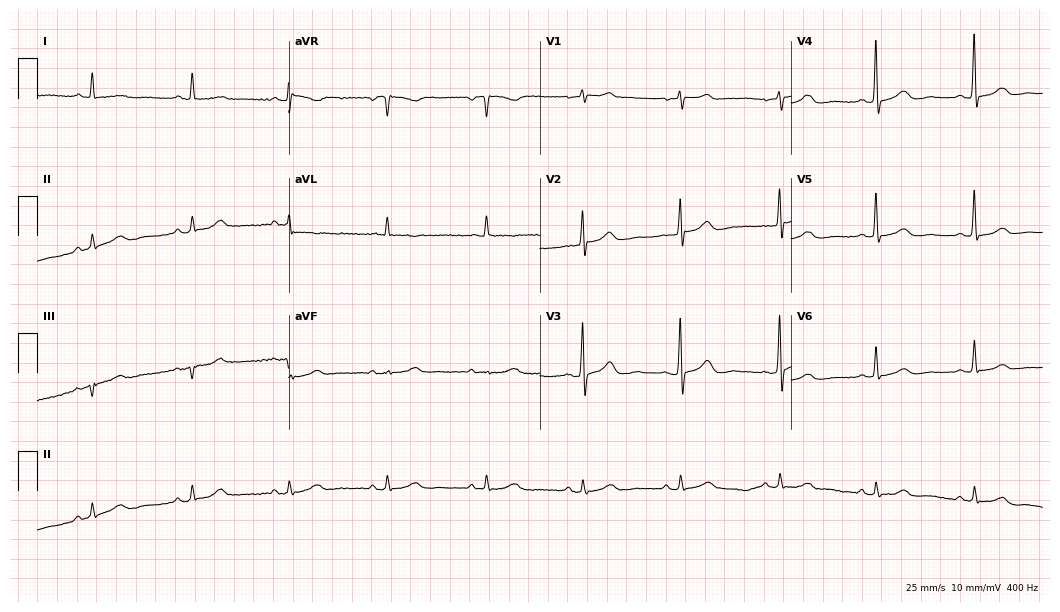
Electrocardiogram, a male, 69 years old. Overall reading on record: normal ECG.